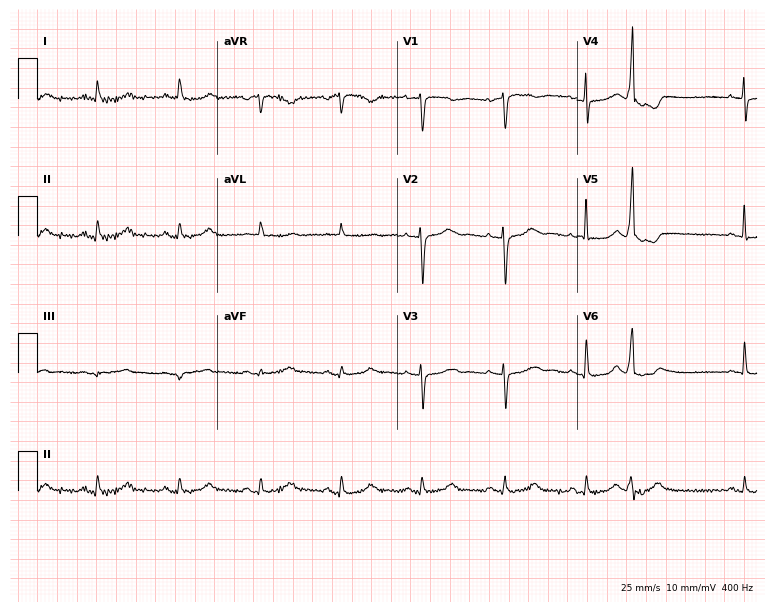
Resting 12-lead electrocardiogram. Patient: a 79-year-old female. None of these six findings is recorded: first-degree AV block, right bundle branch block, left bundle branch block, sinus bradycardia, atrial fibrillation, sinus tachycardia. Other findings, if any, are not listed.